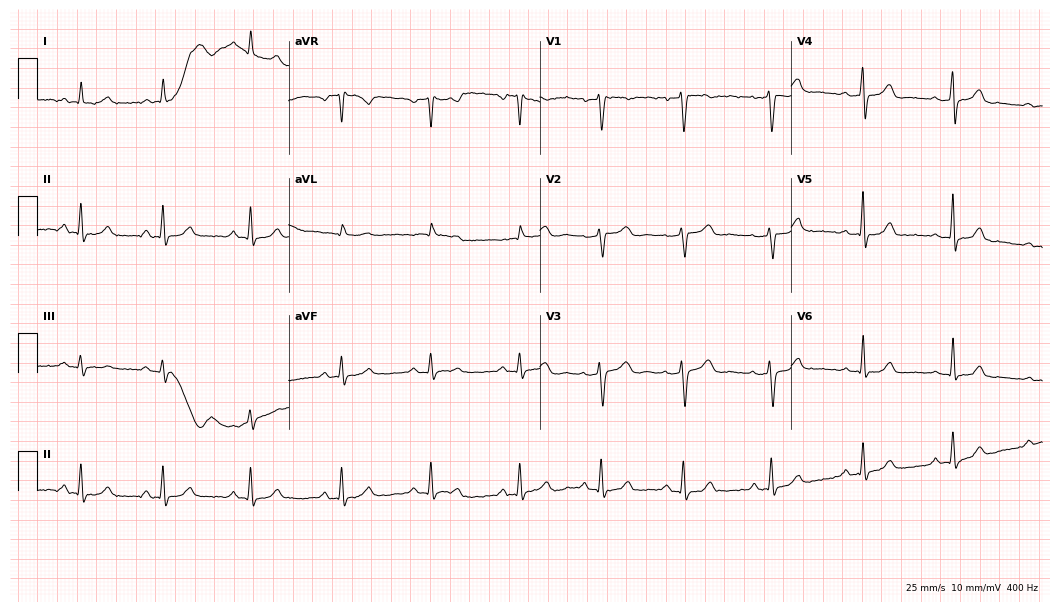
Standard 12-lead ECG recorded from a woman, 40 years old. None of these six findings is recorded: first-degree AV block, right bundle branch block (RBBB), left bundle branch block (LBBB), sinus bradycardia, atrial fibrillation (AF), sinus tachycardia. Findings outside these six are not listed.